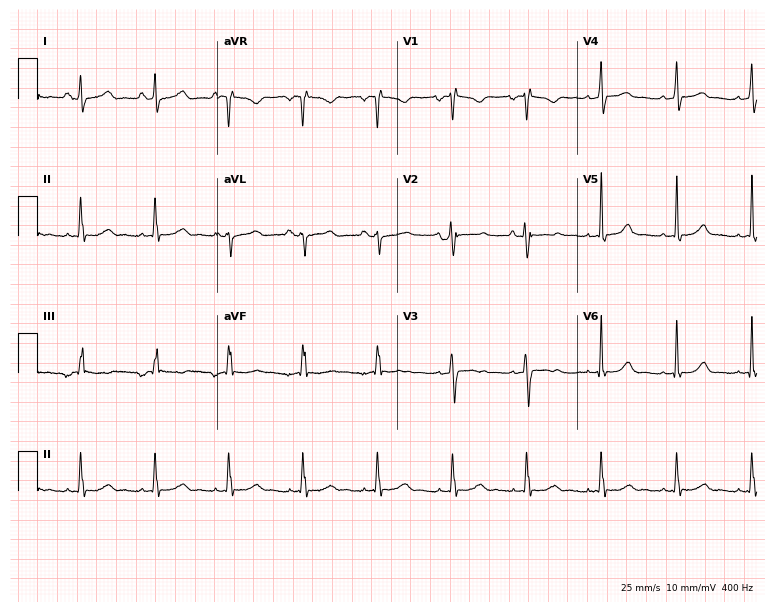
Standard 12-lead ECG recorded from an 18-year-old woman (7.3-second recording at 400 Hz). Read as a normal ECG.